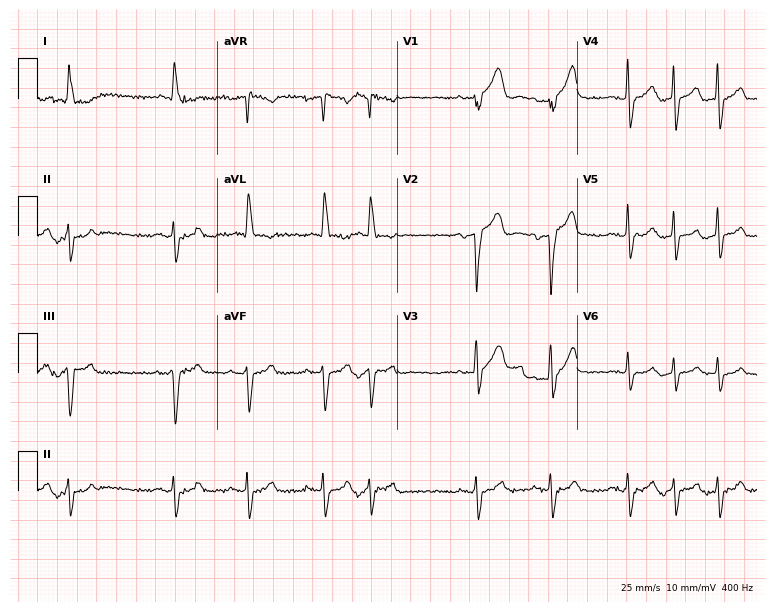
Standard 12-lead ECG recorded from a 79-year-old man. None of these six findings is recorded: first-degree AV block, right bundle branch block (RBBB), left bundle branch block (LBBB), sinus bradycardia, atrial fibrillation (AF), sinus tachycardia.